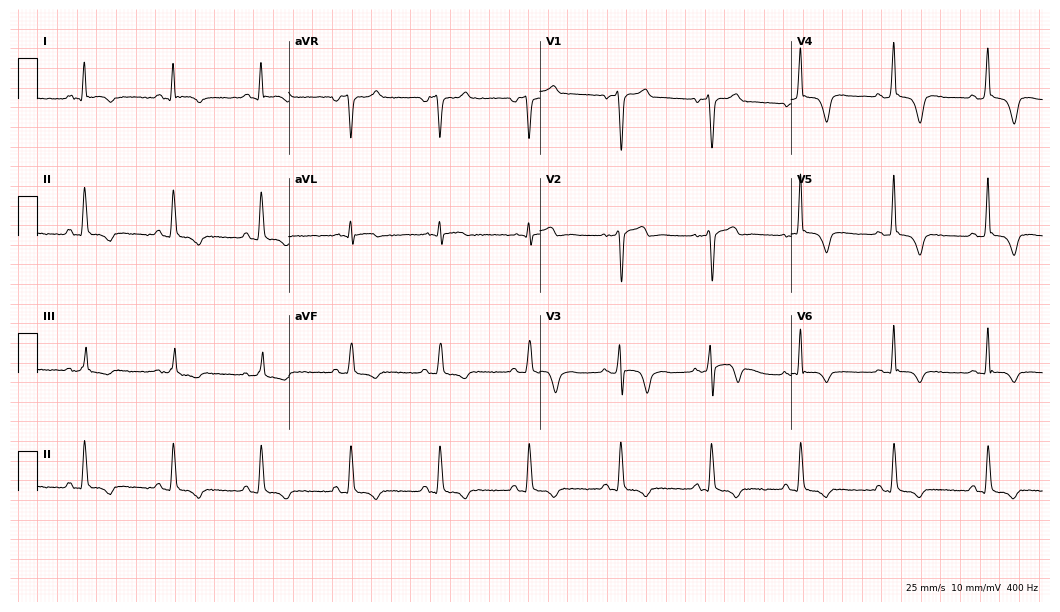
Resting 12-lead electrocardiogram. Patient: a male, 55 years old. None of these six findings is recorded: first-degree AV block, right bundle branch block (RBBB), left bundle branch block (LBBB), sinus bradycardia, atrial fibrillation (AF), sinus tachycardia. Only these six findings were labelled.